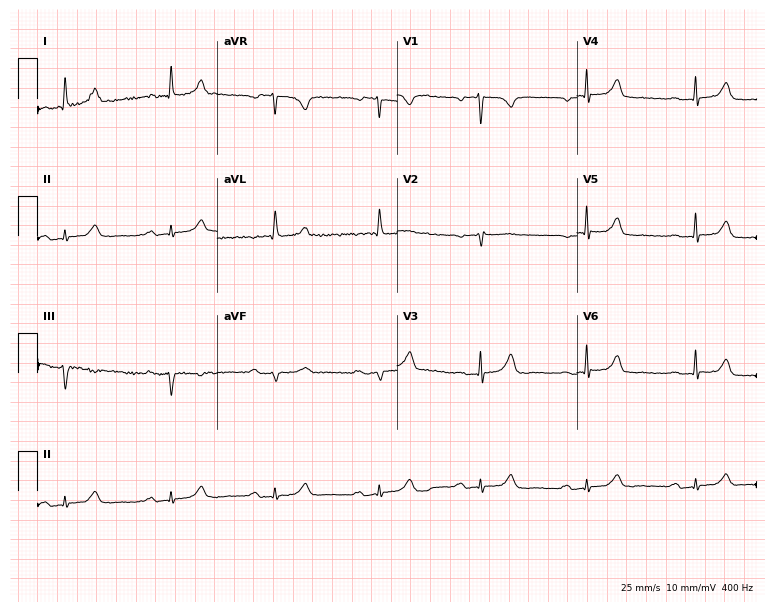
12-lead ECG from a 59-year-old female. No first-degree AV block, right bundle branch block, left bundle branch block, sinus bradycardia, atrial fibrillation or sinus tachycardia recorded for this tracing.